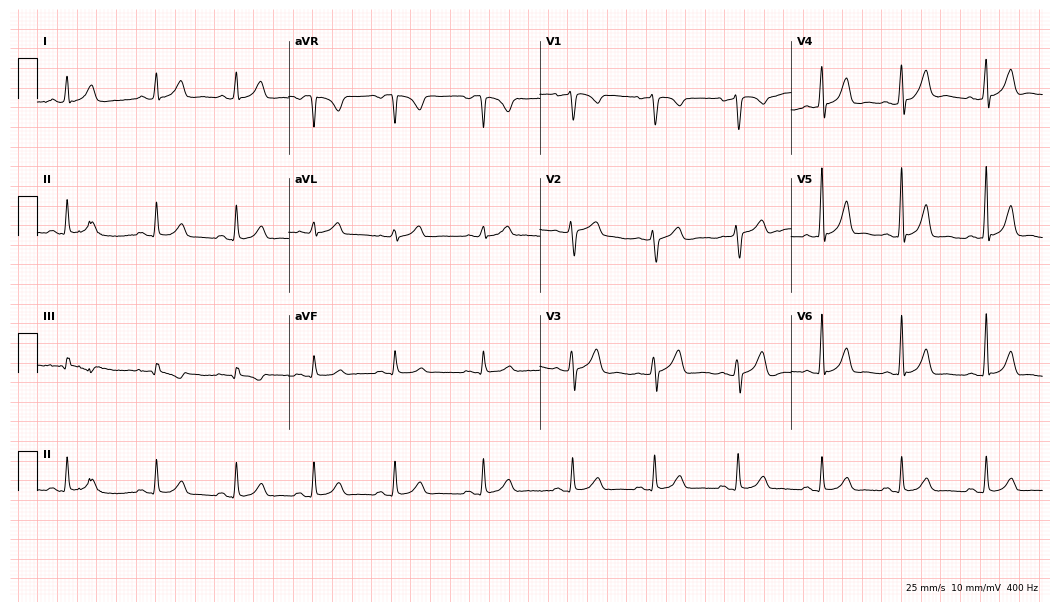
12-lead ECG from a 29-year-old woman. Recorded interpretation: within normal limits.